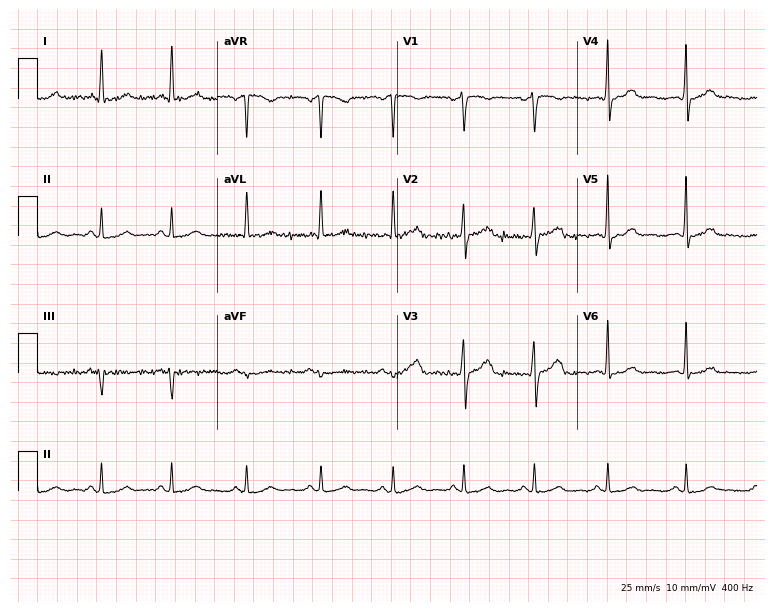
ECG (7.3-second recording at 400 Hz) — a 41-year-old female patient. Screened for six findings — first-degree AV block, right bundle branch block, left bundle branch block, sinus bradycardia, atrial fibrillation, sinus tachycardia — none is recorded. Other findings, if any, are not listed.